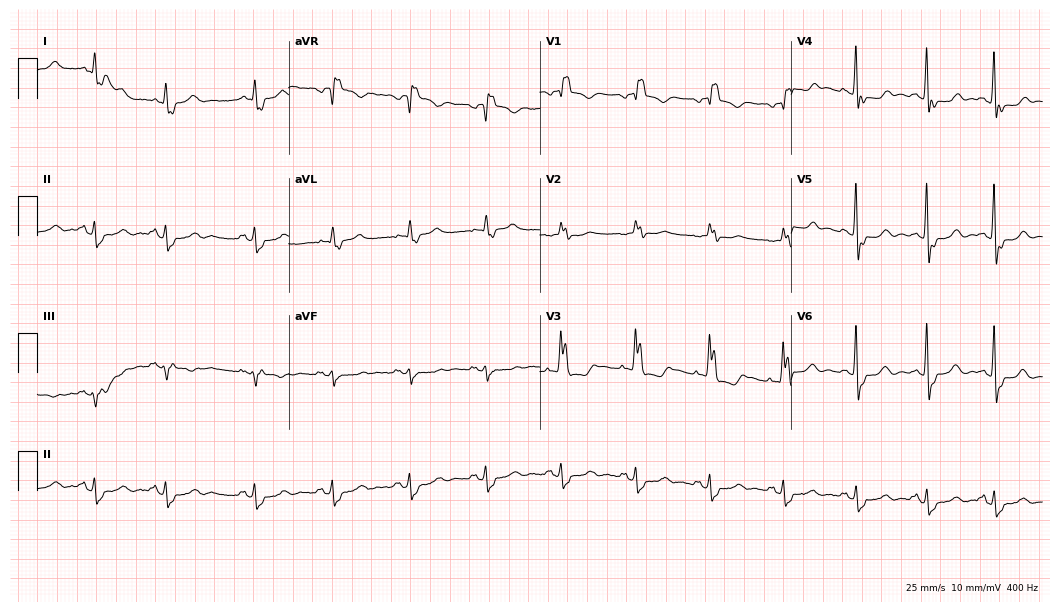
12-lead ECG from a female patient, 76 years old (10.2-second recording at 400 Hz). Shows right bundle branch block (RBBB).